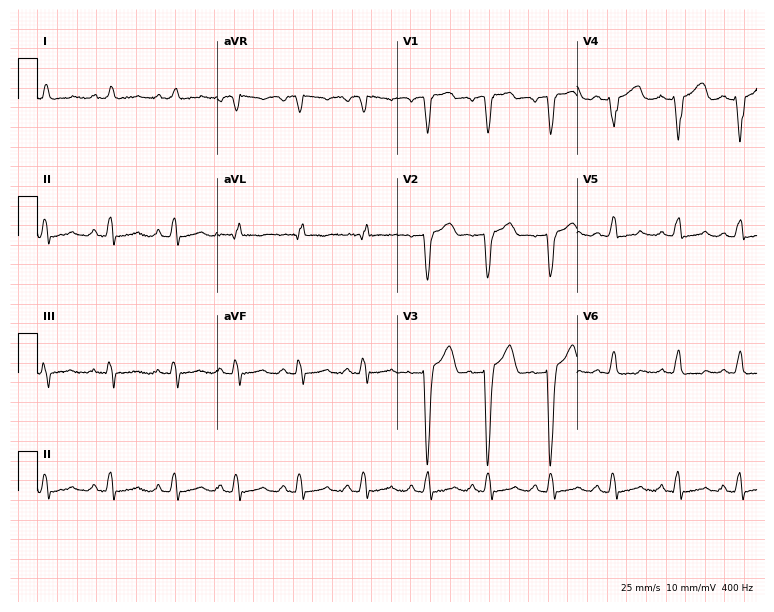
12-lead ECG from a female patient, 65 years old. No first-degree AV block, right bundle branch block (RBBB), left bundle branch block (LBBB), sinus bradycardia, atrial fibrillation (AF) or sinus tachycardia recorded for this tracing.